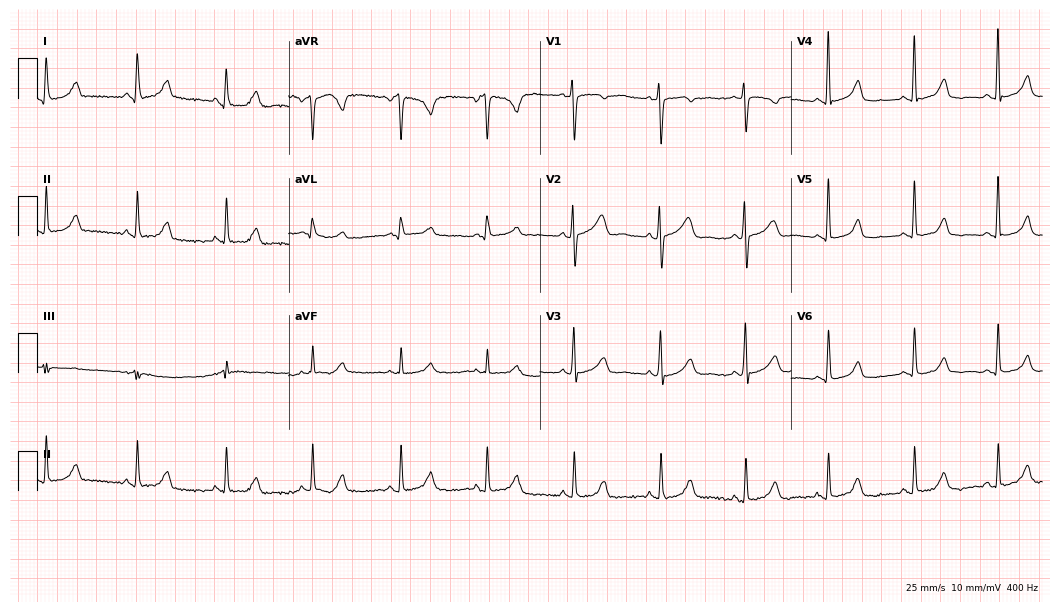
Resting 12-lead electrocardiogram. Patient: a female, 55 years old. Read as a normal ECG.